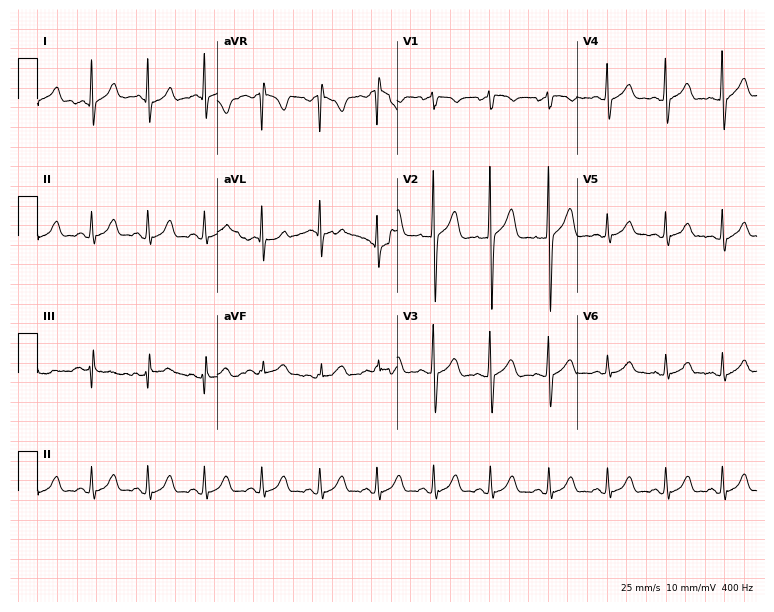
Resting 12-lead electrocardiogram. Patient: a 41-year-old male. None of these six findings is recorded: first-degree AV block, right bundle branch block, left bundle branch block, sinus bradycardia, atrial fibrillation, sinus tachycardia.